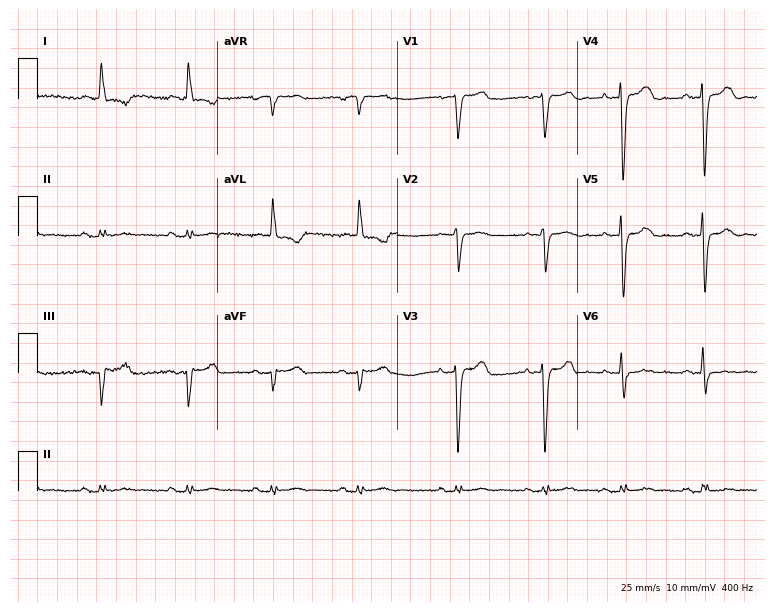
Electrocardiogram, a female patient, 79 years old. Of the six screened findings (first-degree AV block, right bundle branch block, left bundle branch block, sinus bradycardia, atrial fibrillation, sinus tachycardia), none is recorded. Other findings, if any, are not listed.